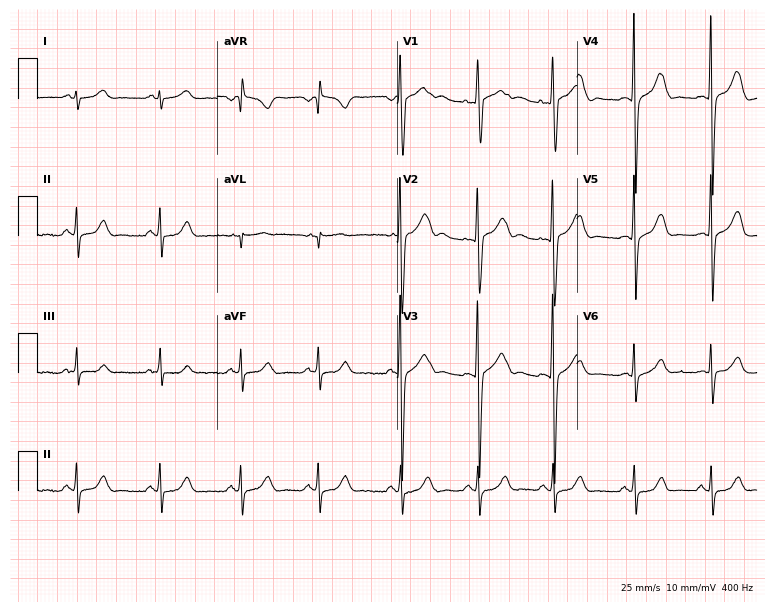
ECG (7.3-second recording at 400 Hz) — a male patient, 17 years old. Labelled as a normal ECG.